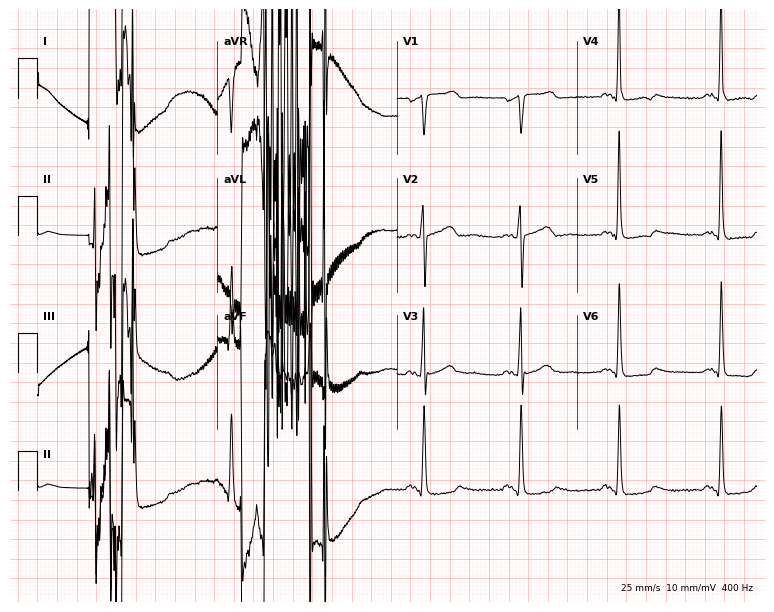
ECG — a woman, 59 years old. Screened for six findings — first-degree AV block, right bundle branch block, left bundle branch block, sinus bradycardia, atrial fibrillation, sinus tachycardia — none is recorded.